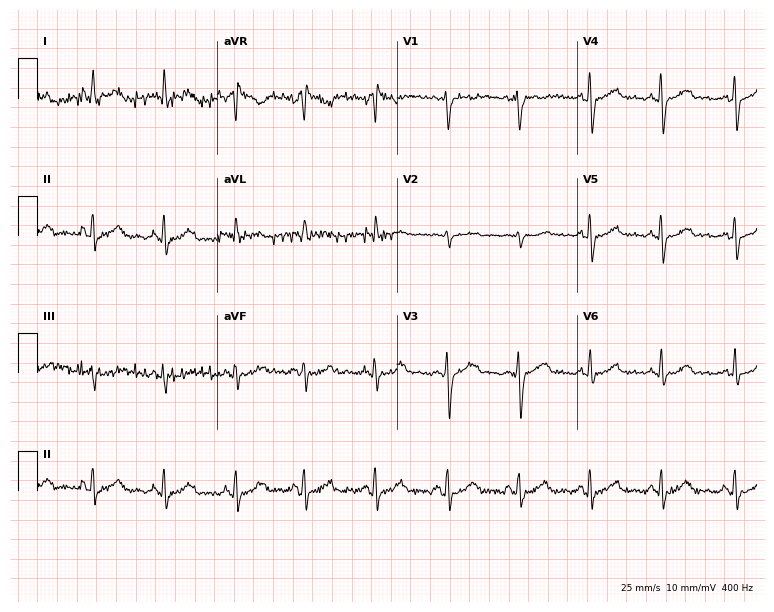
12-lead ECG (7.3-second recording at 400 Hz) from a female, 38 years old. Labelled as a normal ECG.